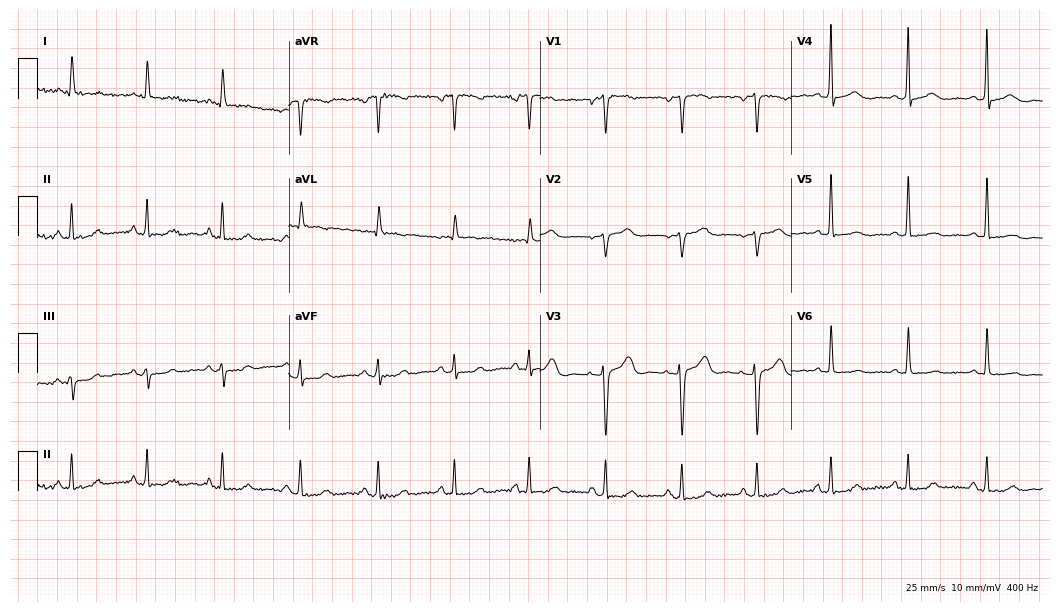
Electrocardiogram (10.2-second recording at 400 Hz), a woman, 72 years old. Of the six screened findings (first-degree AV block, right bundle branch block, left bundle branch block, sinus bradycardia, atrial fibrillation, sinus tachycardia), none is recorded. Findings outside these six are not listed.